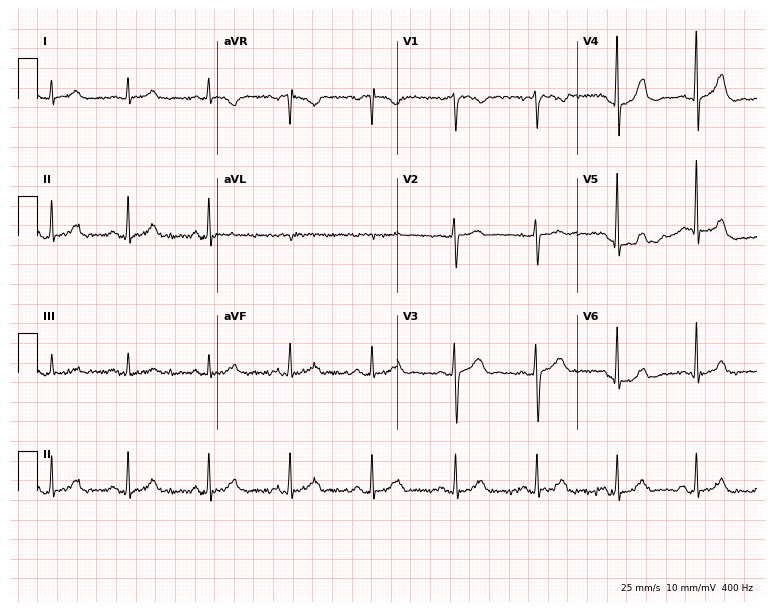
Electrocardiogram (7.3-second recording at 400 Hz), a 60-year-old male patient. Overall reading on record: normal ECG.